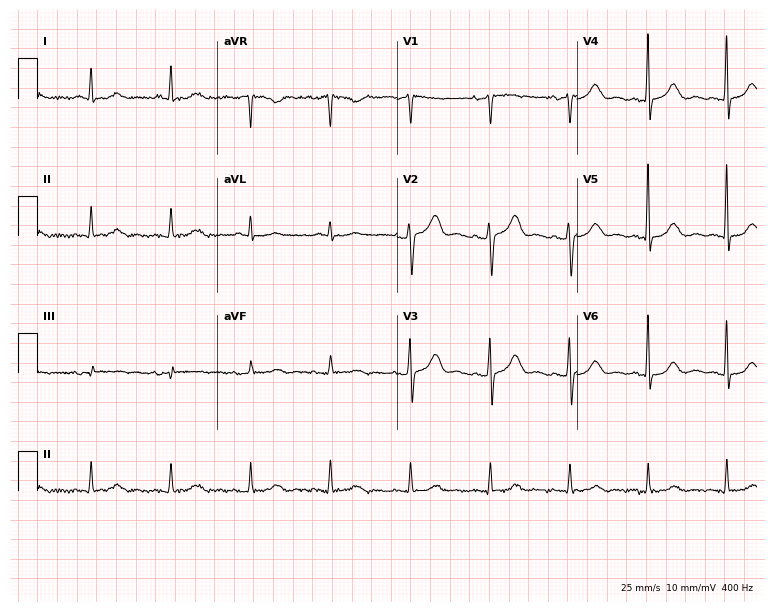
Resting 12-lead electrocardiogram (7.3-second recording at 400 Hz). Patient: a male, 74 years old. Read as a normal ECG.